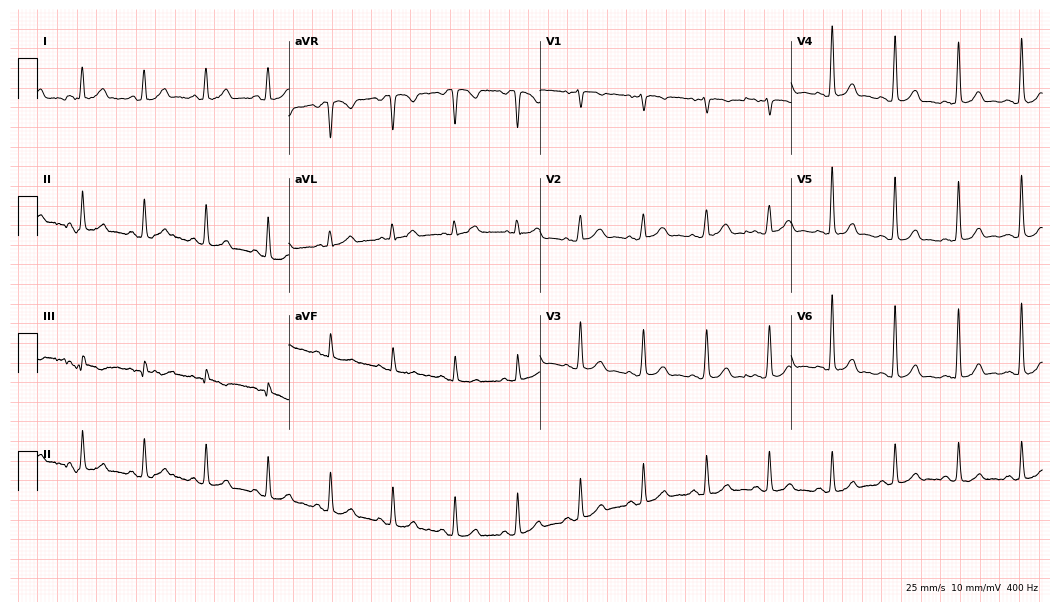
12-lead ECG from a 45-year-old female patient (10.2-second recording at 400 Hz). Recorded interpretation: within normal limits.